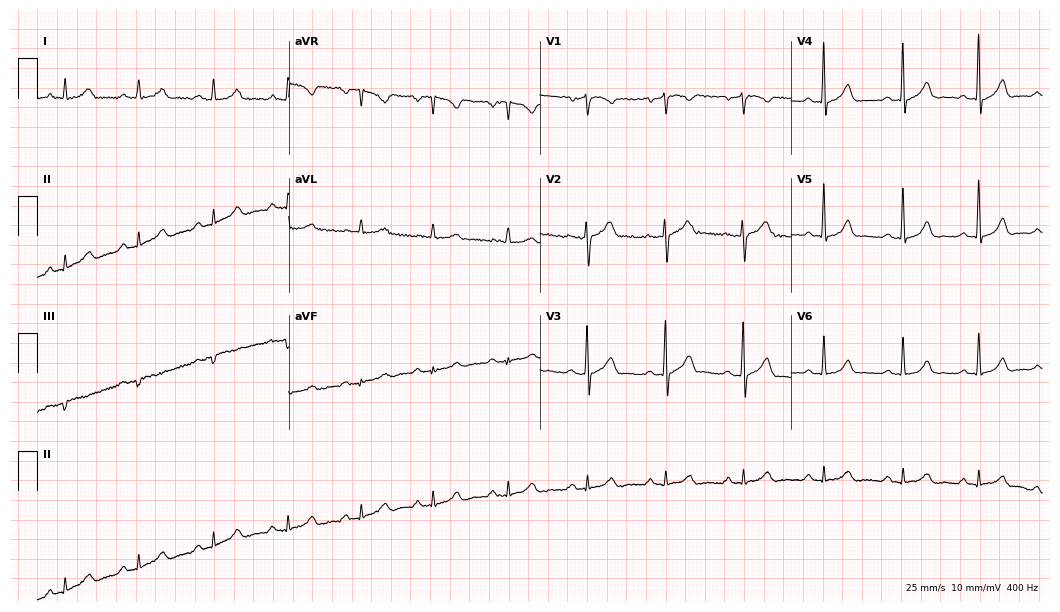
Resting 12-lead electrocardiogram. Patient: a 42-year-old male. Read as a normal ECG.